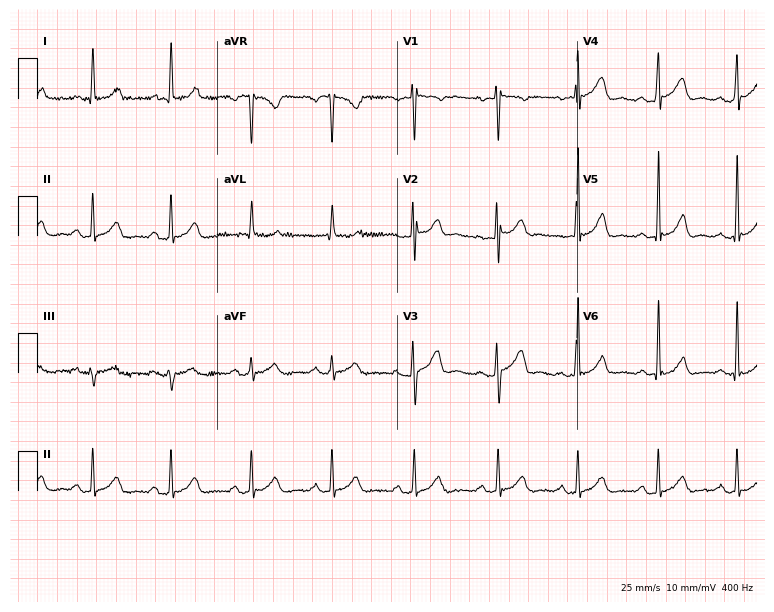
ECG — a 39-year-old man. Screened for six findings — first-degree AV block, right bundle branch block, left bundle branch block, sinus bradycardia, atrial fibrillation, sinus tachycardia — none is recorded. Only these six findings were labelled.